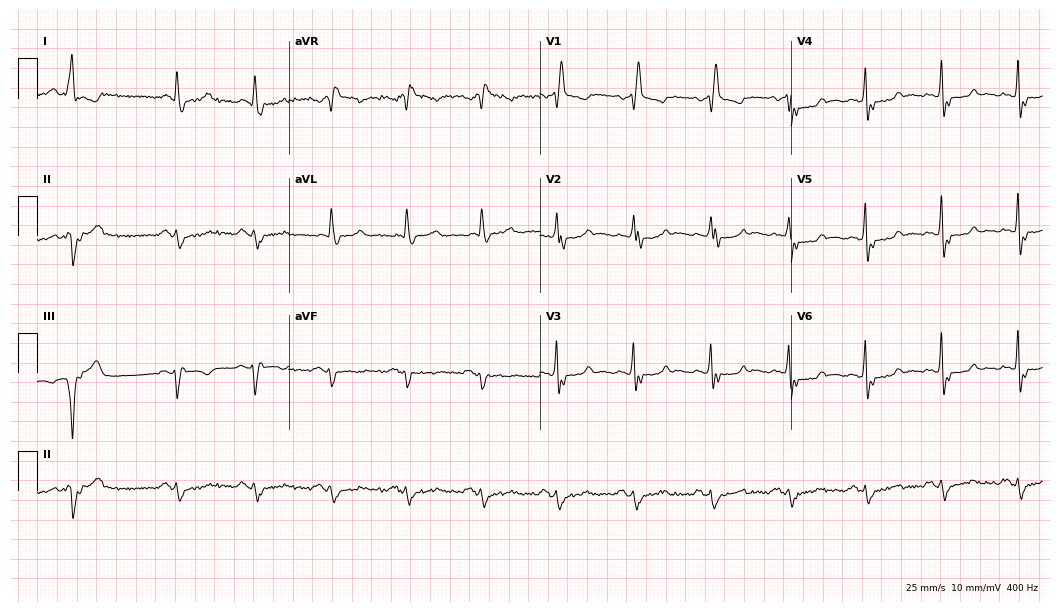
Resting 12-lead electrocardiogram. Patient: an 80-year-old male. The tracing shows right bundle branch block.